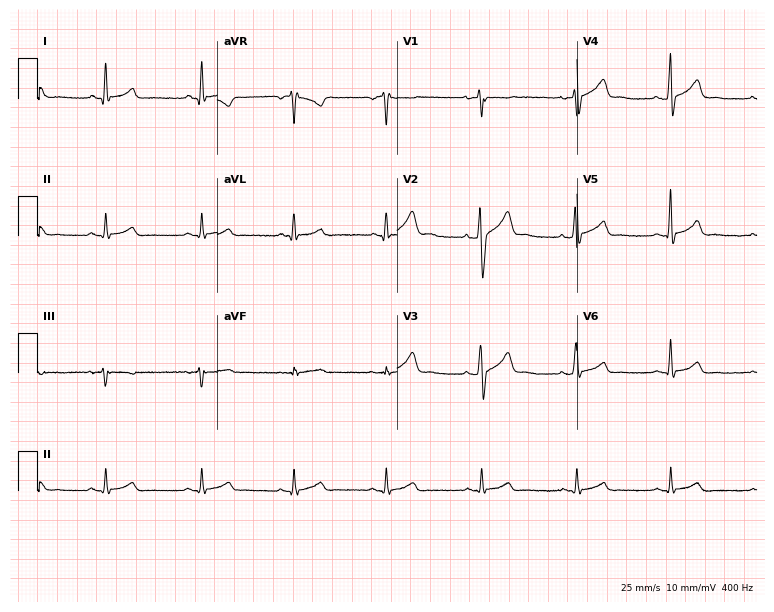
Electrocardiogram, a male patient, 36 years old. Overall reading on record: normal ECG.